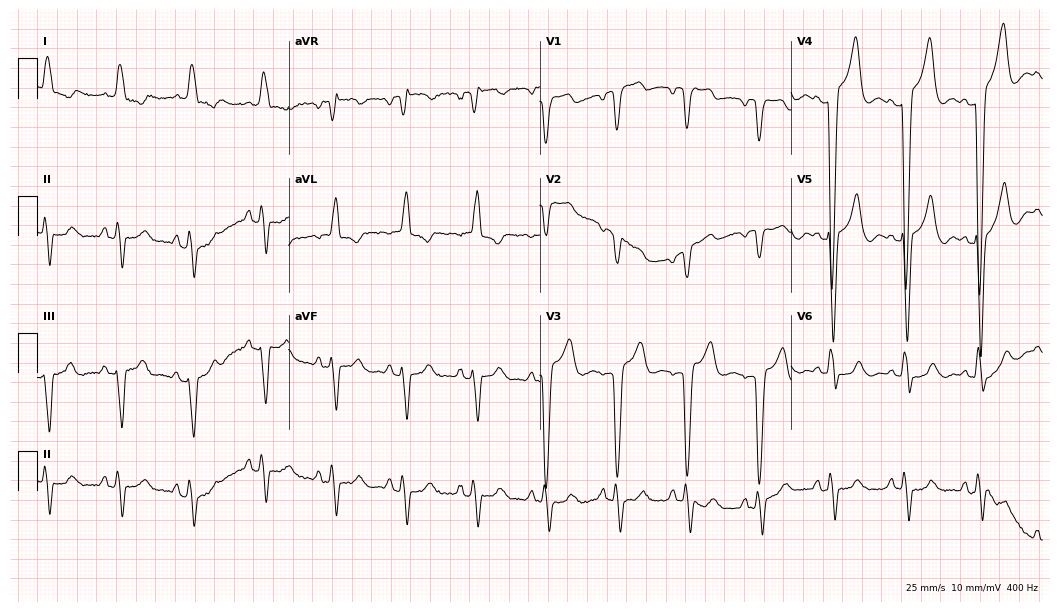
12-lead ECG from a female patient, 78 years old (10.2-second recording at 400 Hz). No first-degree AV block, right bundle branch block (RBBB), left bundle branch block (LBBB), sinus bradycardia, atrial fibrillation (AF) or sinus tachycardia recorded for this tracing.